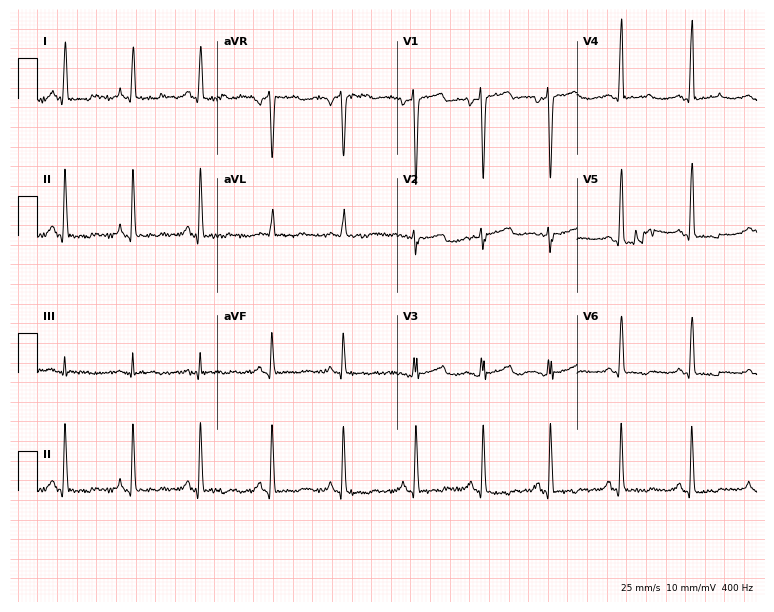
12-lead ECG (7.3-second recording at 400 Hz) from a 36-year-old man. Screened for six findings — first-degree AV block, right bundle branch block, left bundle branch block, sinus bradycardia, atrial fibrillation, sinus tachycardia — none is recorded. Other findings, if any, are not listed.